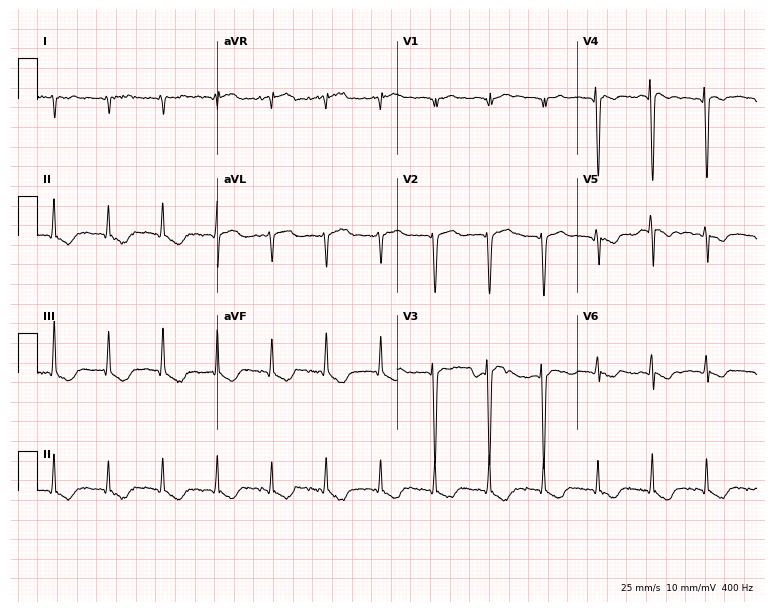
Resting 12-lead electrocardiogram (7.3-second recording at 400 Hz). Patient: a 68-year-old woman. None of these six findings is recorded: first-degree AV block, right bundle branch block, left bundle branch block, sinus bradycardia, atrial fibrillation, sinus tachycardia.